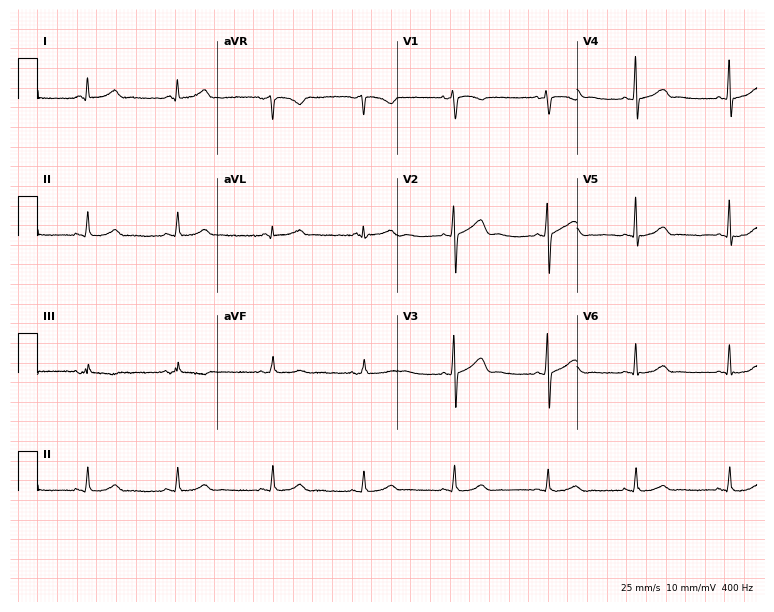
ECG — a 38-year-old female. Labelled as a normal ECG.